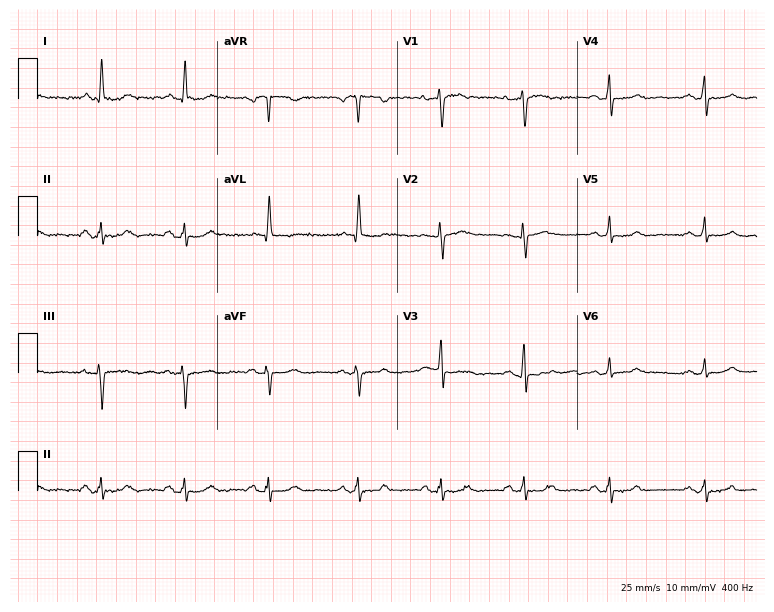
ECG (7.3-second recording at 400 Hz) — a female, 51 years old. Screened for six findings — first-degree AV block, right bundle branch block (RBBB), left bundle branch block (LBBB), sinus bradycardia, atrial fibrillation (AF), sinus tachycardia — none is recorded. Only these six findings were labelled.